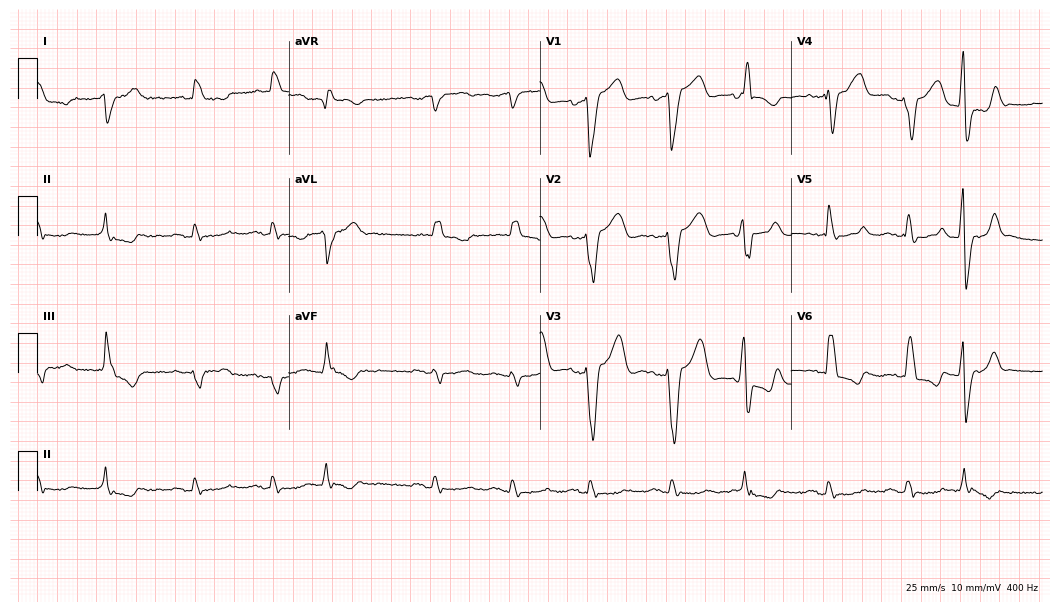
12-lead ECG from a 78-year-old male. Shows left bundle branch block.